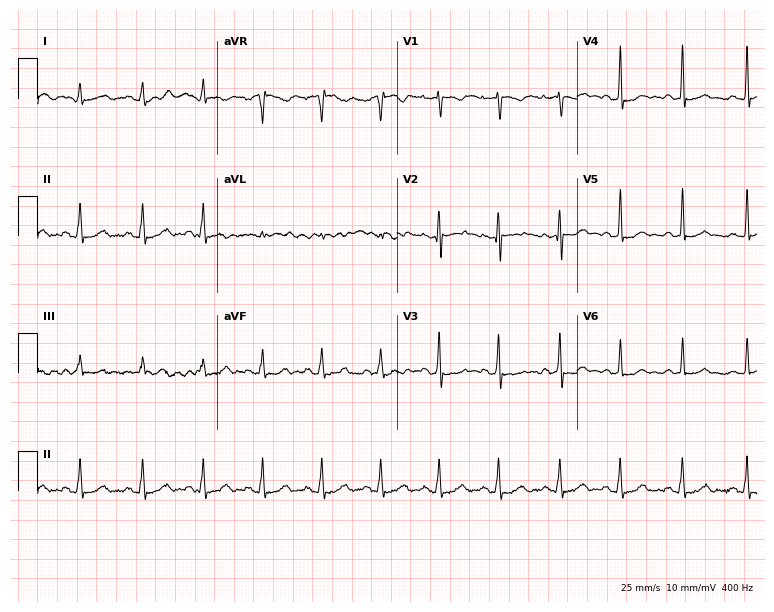
Standard 12-lead ECG recorded from a woman, 45 years old. None of these six findings is recorded: first-degree AV block, right bundle branch block, left bundle branch block, sinus bradycardia, atrial fibrillation, sinus tachycardia.